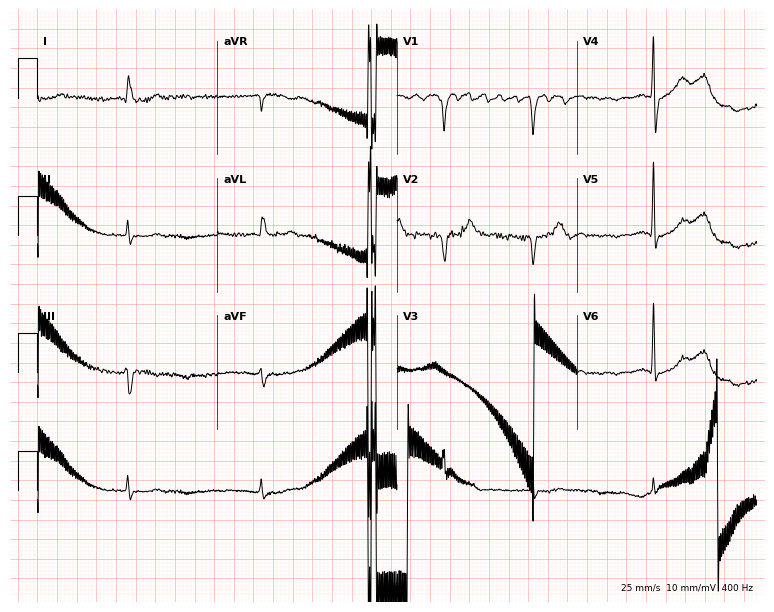
Electrocardiogram, a male patient, 82 years old. Of the six screened findings (first-degree AV block, right bundle branch block (RBBB), left bundle branch block (LBBB), sinus bradycardia, atrial fibrillation (AF), sinus tachycardia), none is recorded.